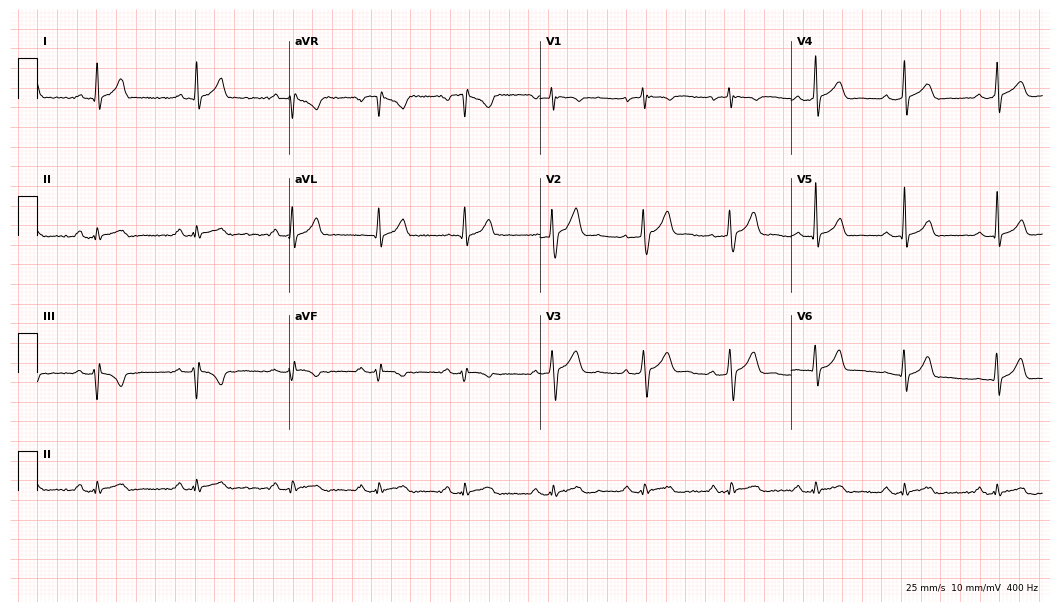
Electrocardiogram (10.2-second recording at 400 Hz), a 38-year-old man. Of the six screened findings (first-degree AV block, right bundle branch block (RBBB), left bundle branch block (LBBB), sinus bradycardia, atrial fibrillation (AF), sinus tachycardia), none is recorded. Other findings, if any, are not listed.